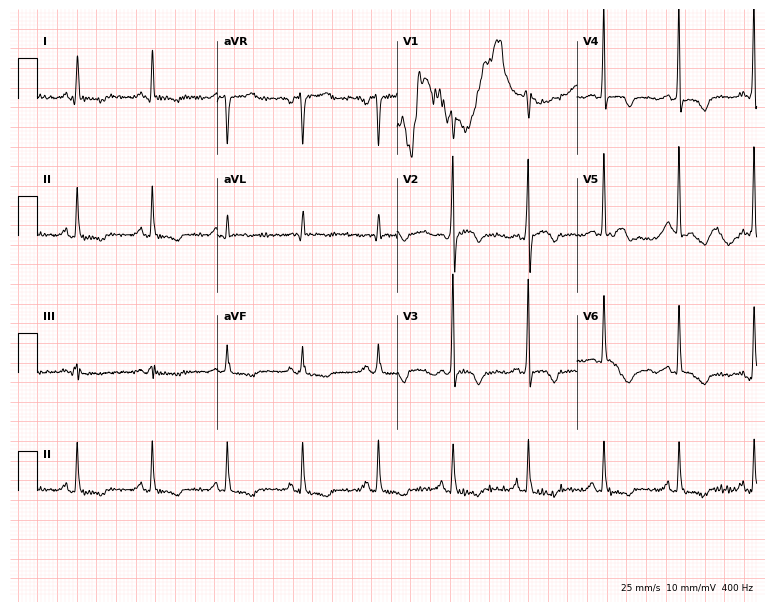
Resting 12-lead electrocardiogram. Patient: a 57-year-old woman. None of these six findings is recorded: first-degree AV block, right bundle branch block, left bundle branch block, sinus bradycardia, atrial fibrillation, sinus tachycardia. Other findings, if any, are not listed.